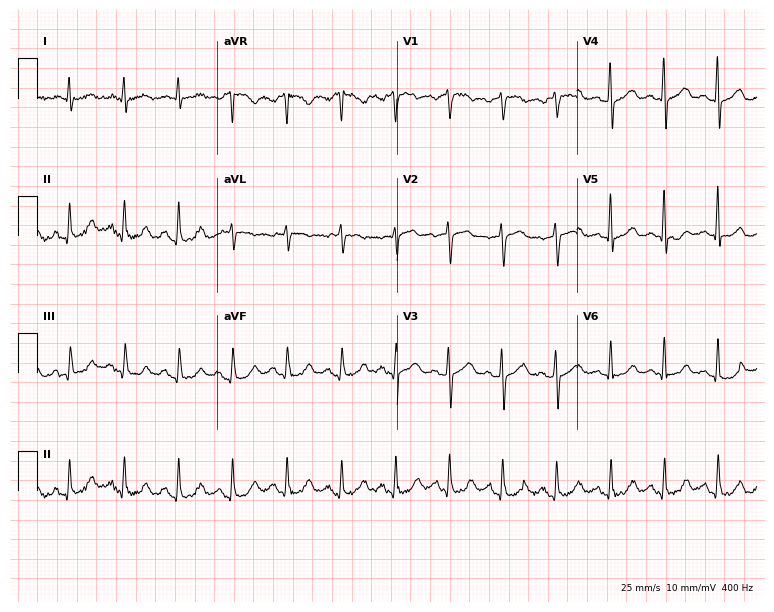
ECG (7.3-second recording at 400 Hz) — a 56-year-old female. Screened for six findings — first-degree AV block, right bundle branch block, left bundle branch block, sinus bradycardia, atrial fibrillation, sinus tachycardia — none is recorded.